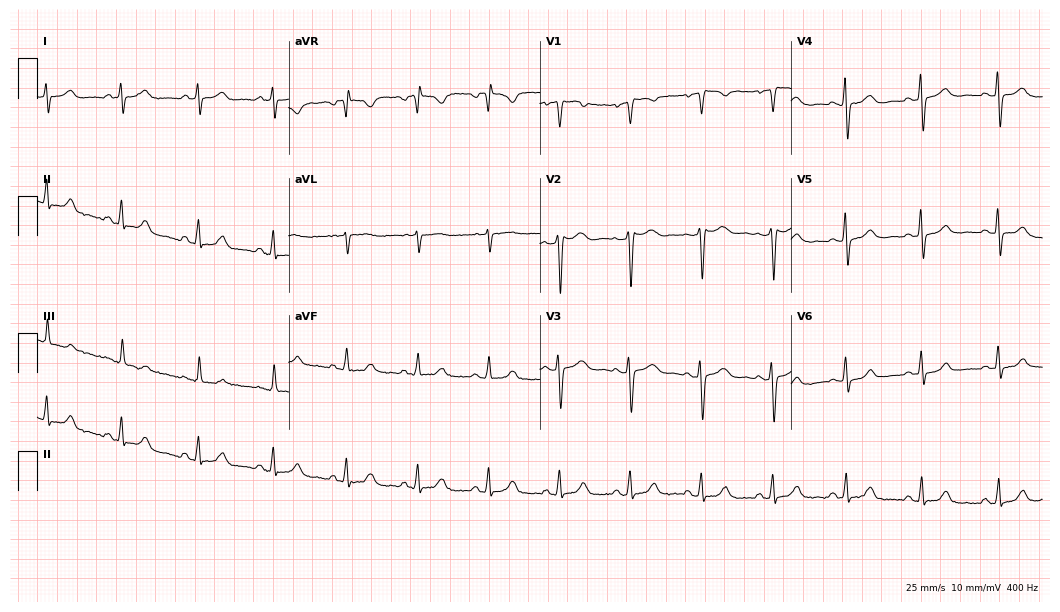
Standard 12-lead ECG recorded from a 39-year-old woman (10.2-second recording at 400 Hz). None of these six findings is recorded: first-degree AV block, right bundle branch block (RBBB), left bundle branch block (LBBB), sinus bradycardia, atrial fibrillation (AF), sinus tachycardia. Other findings, if any, are not listed.